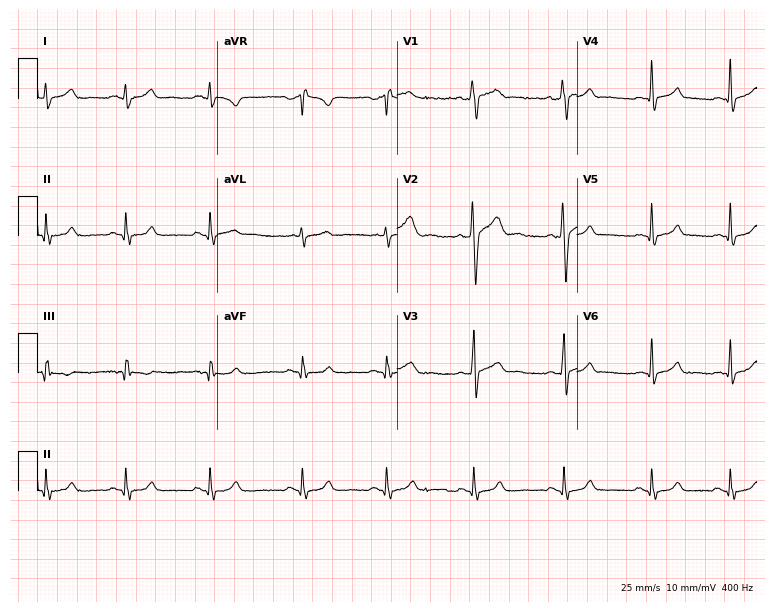
12-lead ECG from a male, 20 years old. Screened for six findings — first-degree AV block, right bundle branch block, left bundle branch block, sinus bradycardia, atrial fibrillation, sinus tachycardia — none is recorded. Only these six findings were labelled.